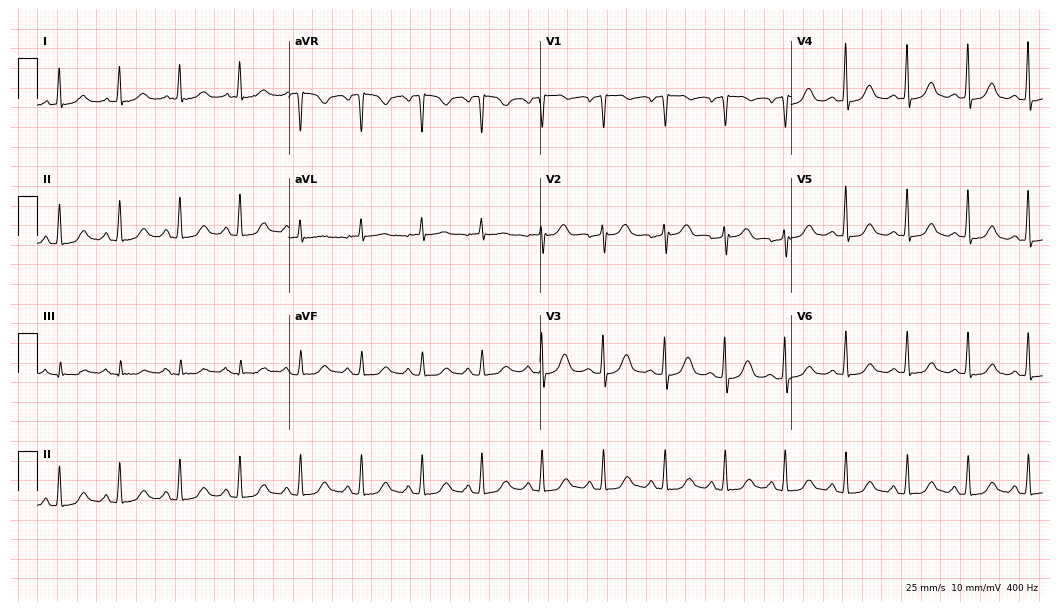
12-lead ECG from a female, 73 years old. Screened for six findings — first-degree AV block, right bundle branch block (RBBB), left bundle branch block (LBBB), sinus bradycardia, atrial fibrillation (AF), sinus tachycardia — none is recorded. Findings outside these six are not listed.